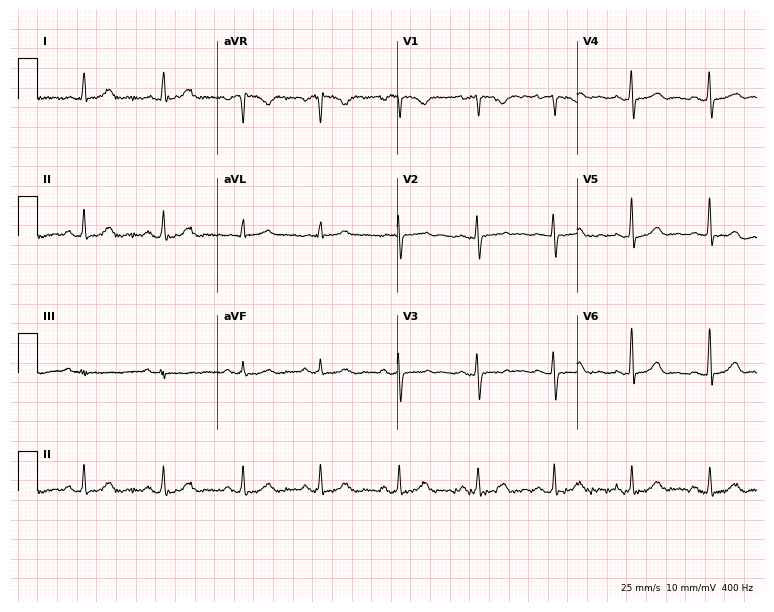
Electrocardiogram, a female, 44 years old. Overall reading on record: normal ECG.